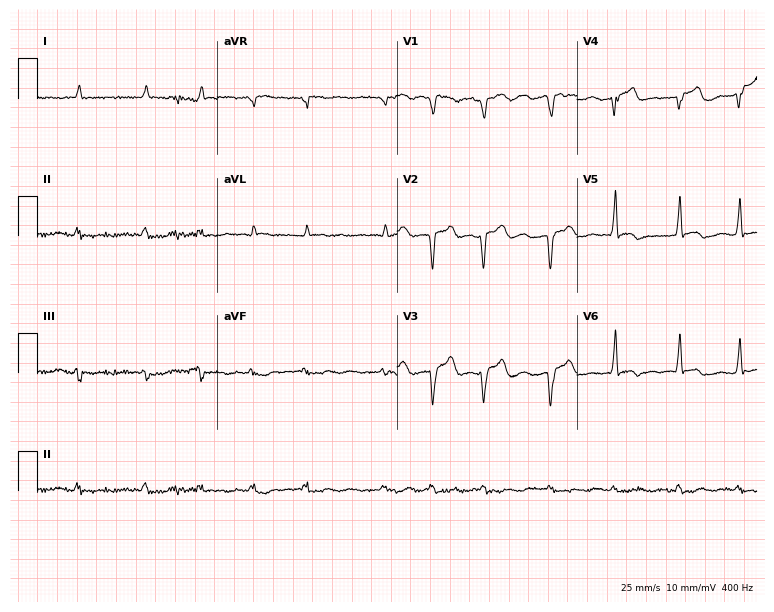
Electrocardiogram (7.3-second recording at 400 Hz), an 84-year-old man. Interpretation includes atrial fibrillation.